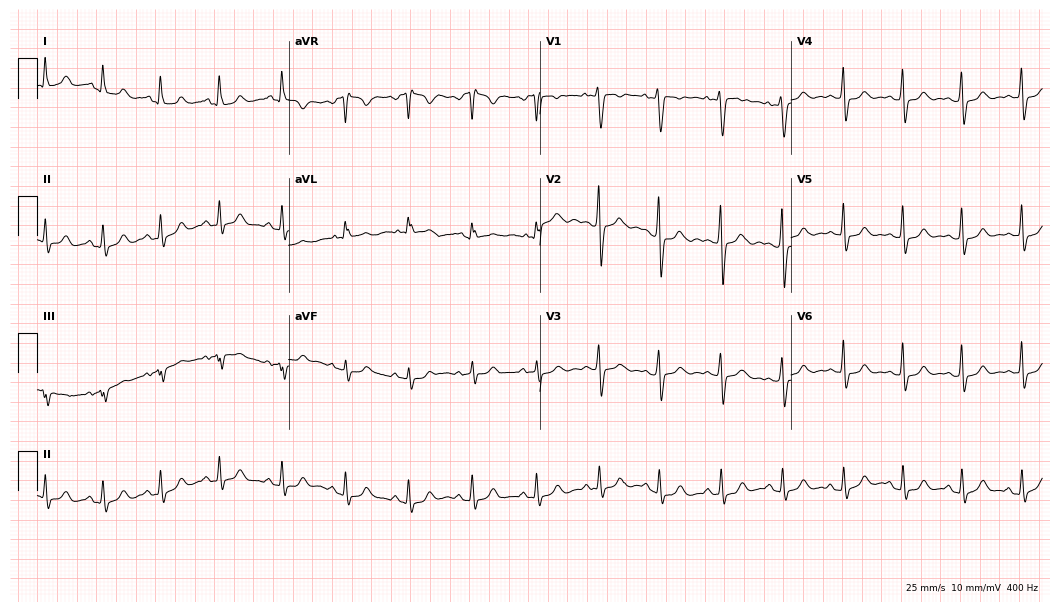
12-lead ECG from a 23-year-old female patient (10.2-second recording at 400 Hz). Recorded interpretation: within normal limits.